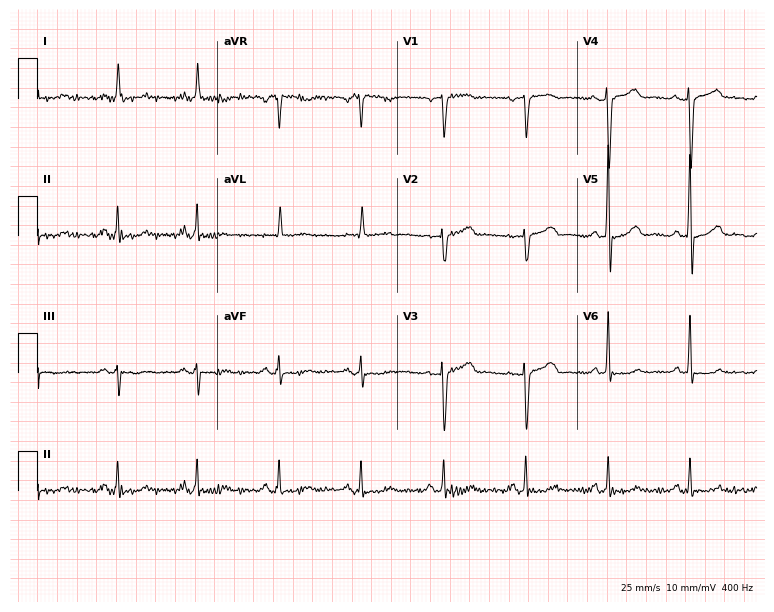
Resting 12-lead electrocardiogram (7.3-second recording at 400 Hz). Patient: a female, 61 years old. Read as a normal ECG.